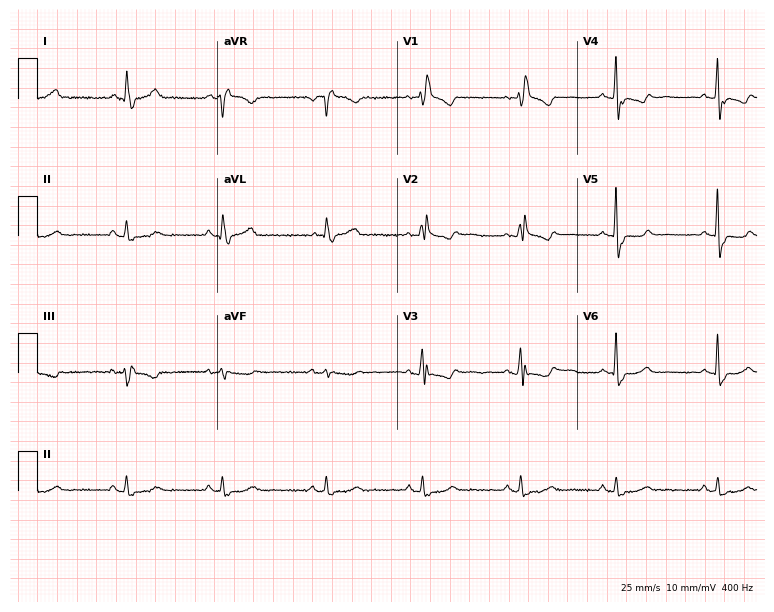
Resting 12-lead electrocardiogram (7.3-second recording at 400 Hz). Patient: a 63-year-old female. The tracing shows right bundle branch block.